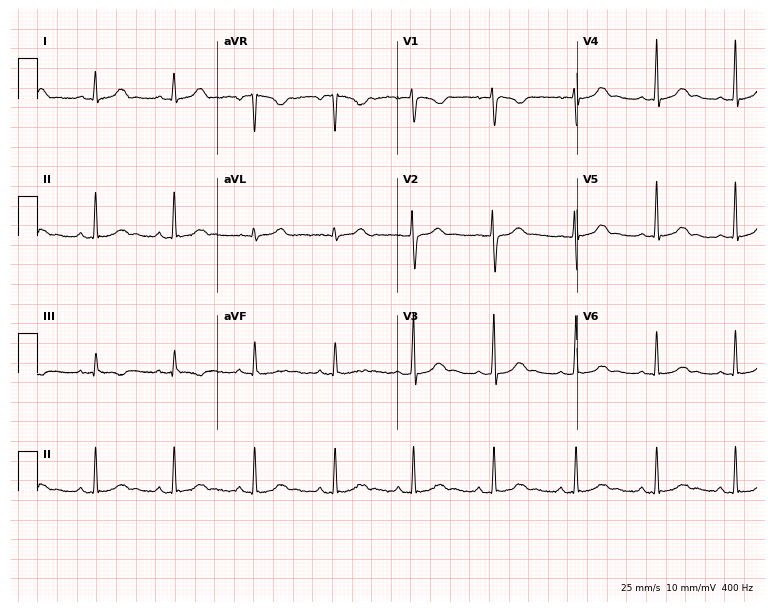
Standard 12-lead ECG recorded from a woman, 21 years old (7.3-second recording at 400 Hz). Read as a normal ECG.